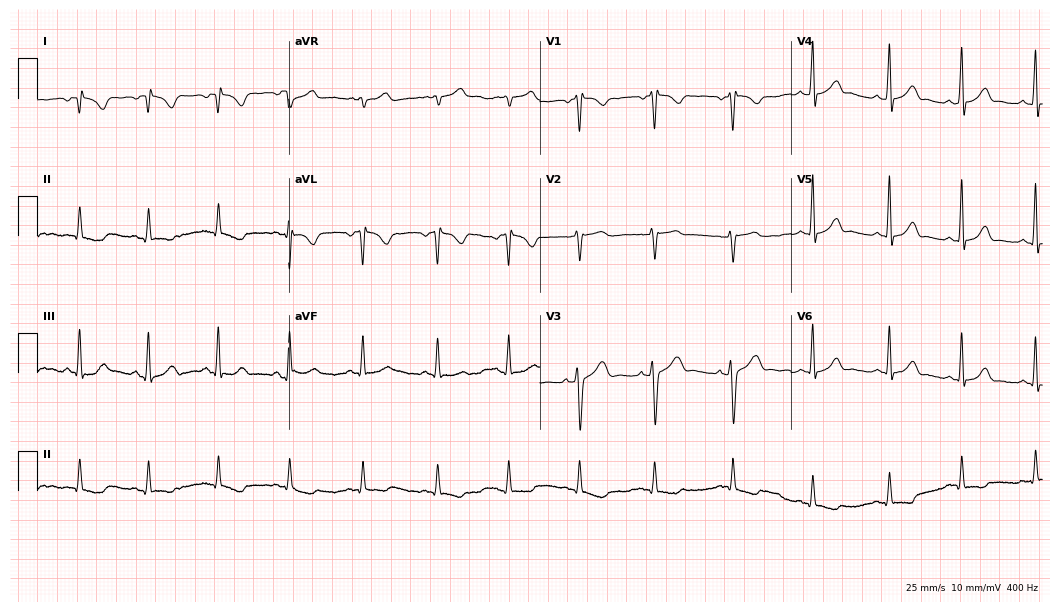
Resting 12-lead electrocardiogram (10.2-second recording at 400 Hz). Patient: a 31-year-old woman. None of these six findings is recorded: first-degree AV block, right bundle branch block, left bundle branch block, sinus bradycardia, atrial fibrillation, sinus tachycardia. Other findings, if any, are not listed.